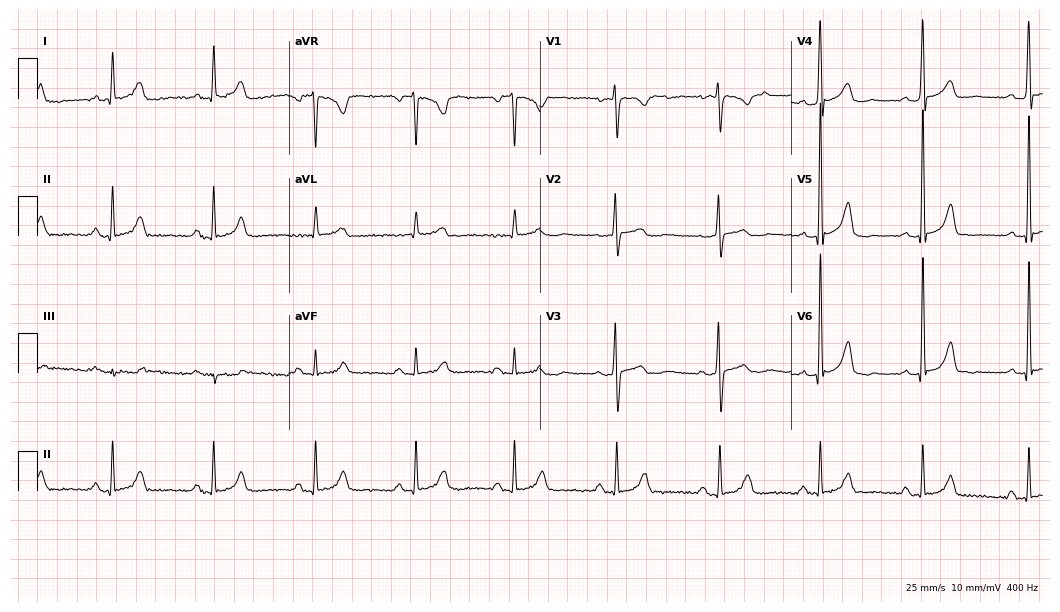
12-lead ECG from a 48-year-old female. Screened for six findings — first-degree AV block, right bundle branch block, left bundle branch block, sinus bradycardia, atrial fibrillation, sinus tachycardia — none is recorded. Only these six findings were labelled.